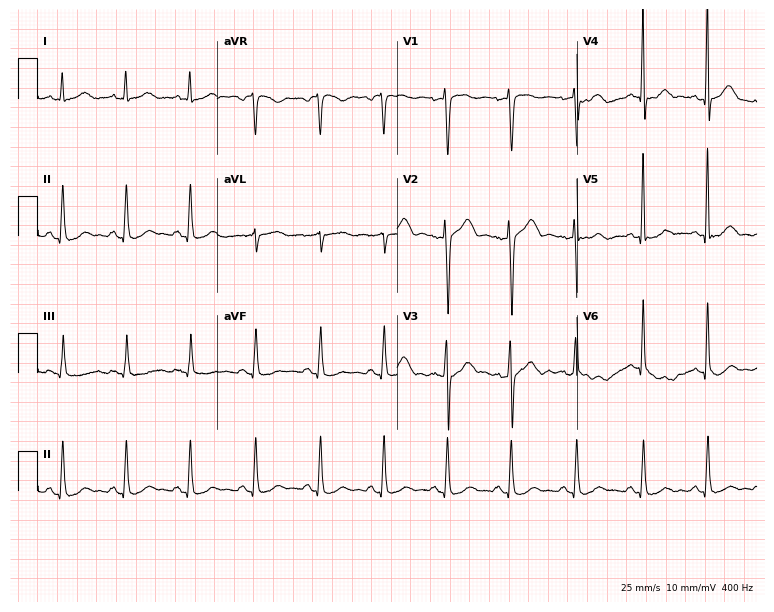
ECG (7.3-second recording at 400 Hz) — a 37-year-old female patient. Labelled as a normal ECG.